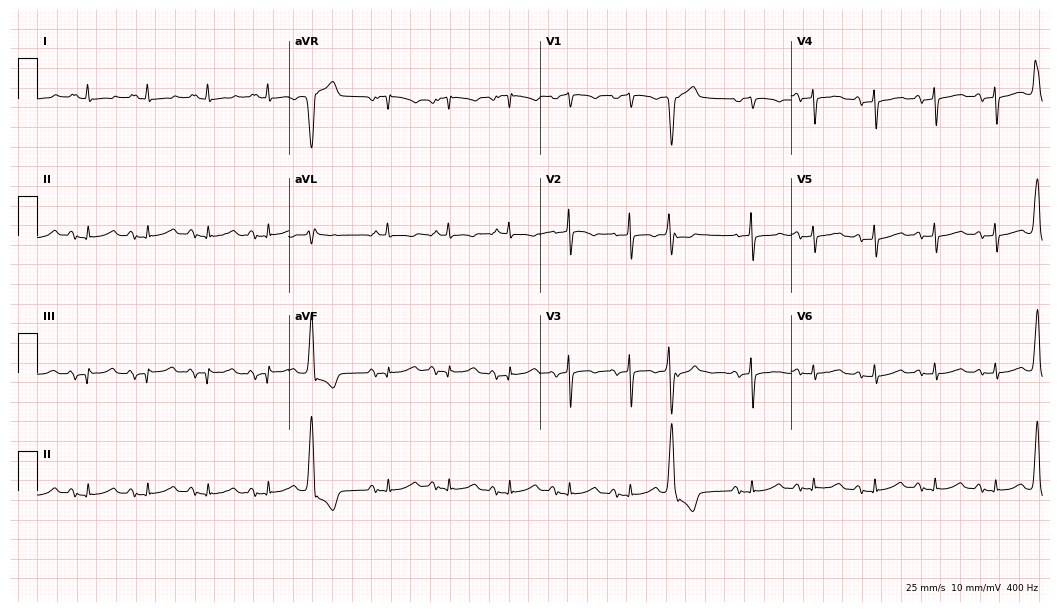
12-lead ECG from a woman, 82 years old. No first-degree AV block, right bundle branch block, left bundle branch block, sinus bradycardia, atrial fibrillation or sinus tachycardia recorded for this tracing.